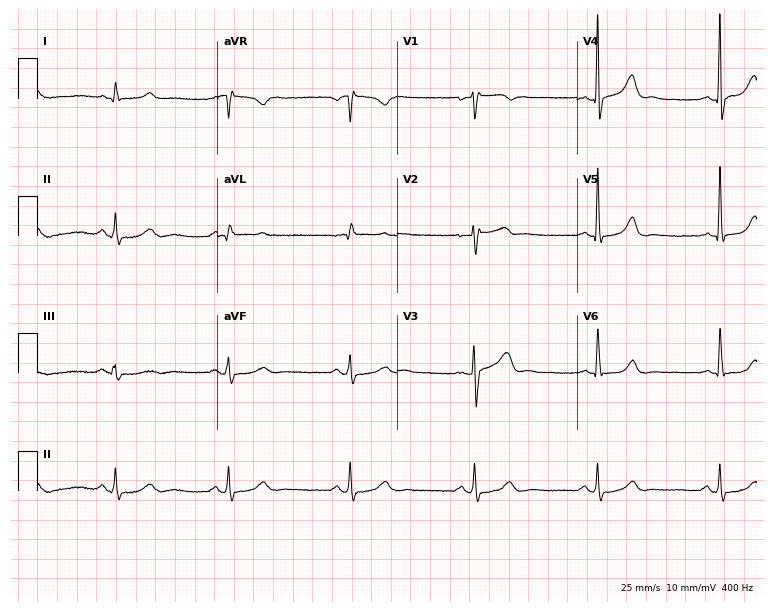
12-lead ECG from a male patient, 50 years old. Shows sinus bradycardia (a sinus rate of 50 beats per minute or less).